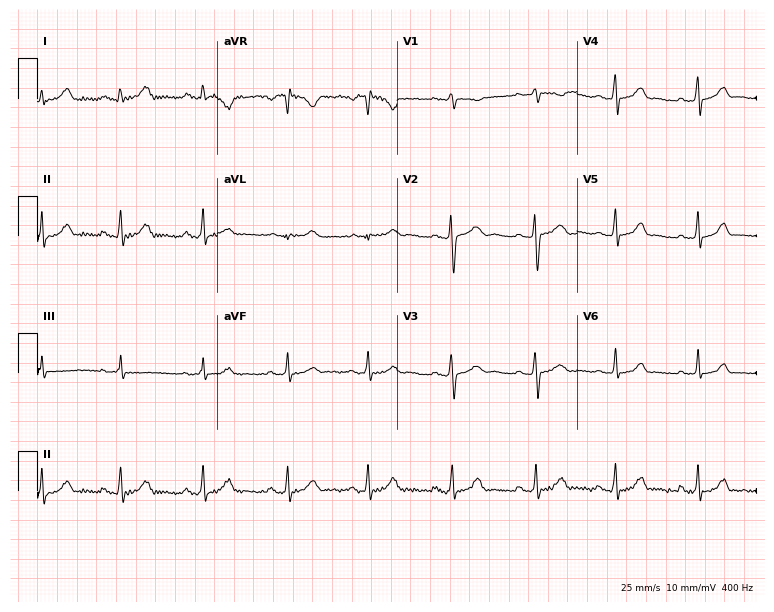
ECG (7.3-second recording at 400 Hz) — a 24-year-old female patient. Screened for six findings — first-degree AV block, right bundle branch block, left bundle branch block, sinus bradycardia, atrial fibrillation, sinus tachycardia — none is recorded.